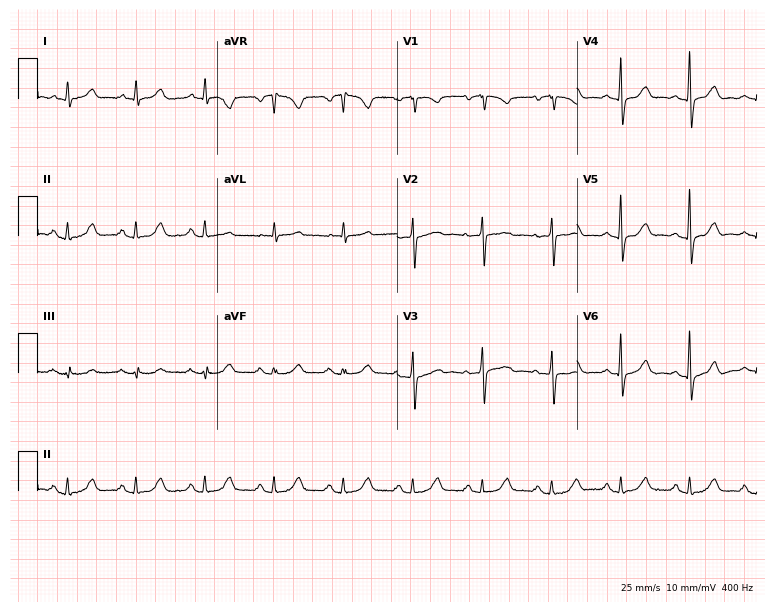
12-lead ECG from a female, 76 years old. No first-degree AV block, right bundle branch block (RBBB), left bundle branch block (LBBB), sinus bradycardia, atrial fibrillation (AF) or sinus tachycardia recorded for this tracing.